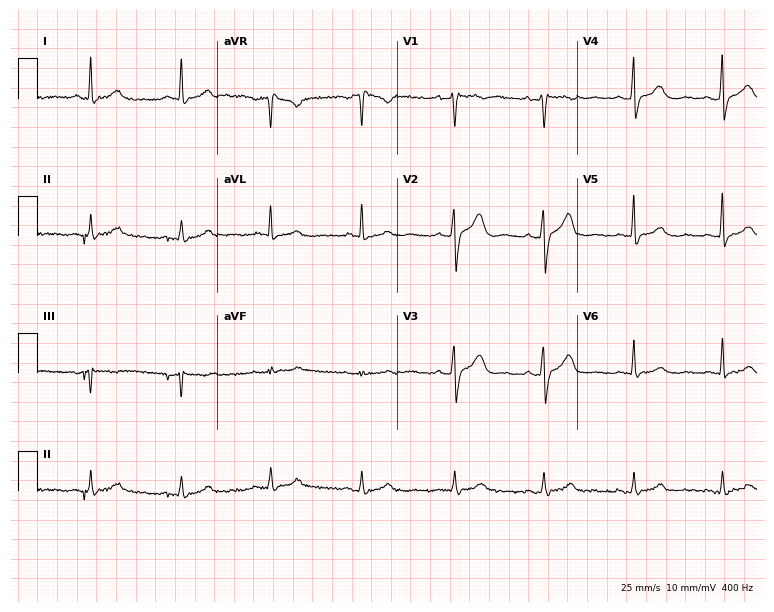
12-lead ECG from a male, 67 years old. No first-degree AV block, right bundle branch block (RBBB), left bundle branch block (LBBB), sinus bradycardia, atrial fibrillation (AF) or sinus tachycardia recorded for this tracing. Findings outside these six are not listed.